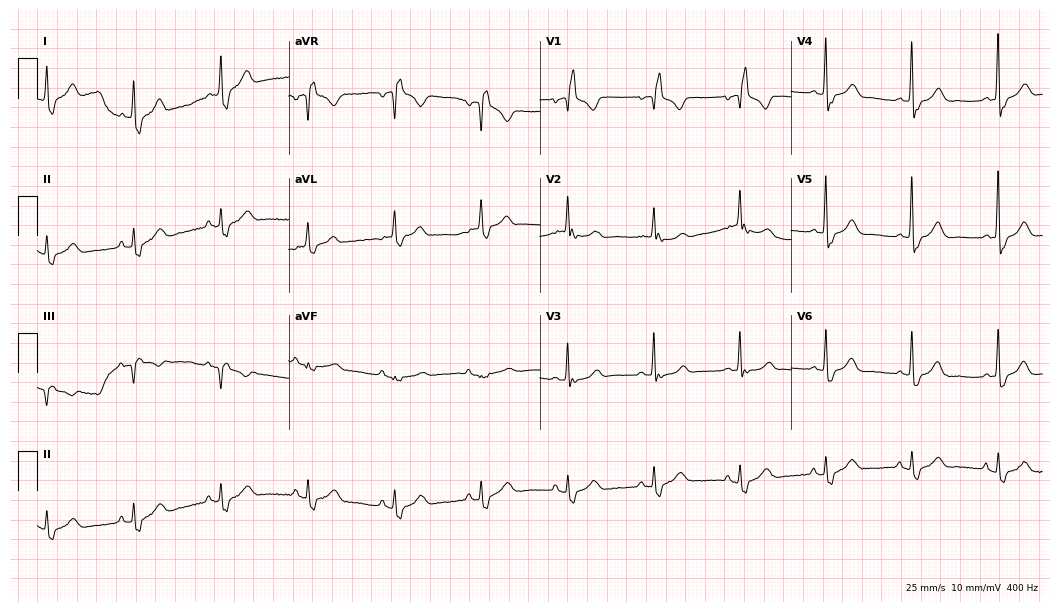
Standard 12-lead ECG recorded from an 80-year-old female (10.2-second recording at 400 Hz). The tracing shows right bundle branch block (RBBB).